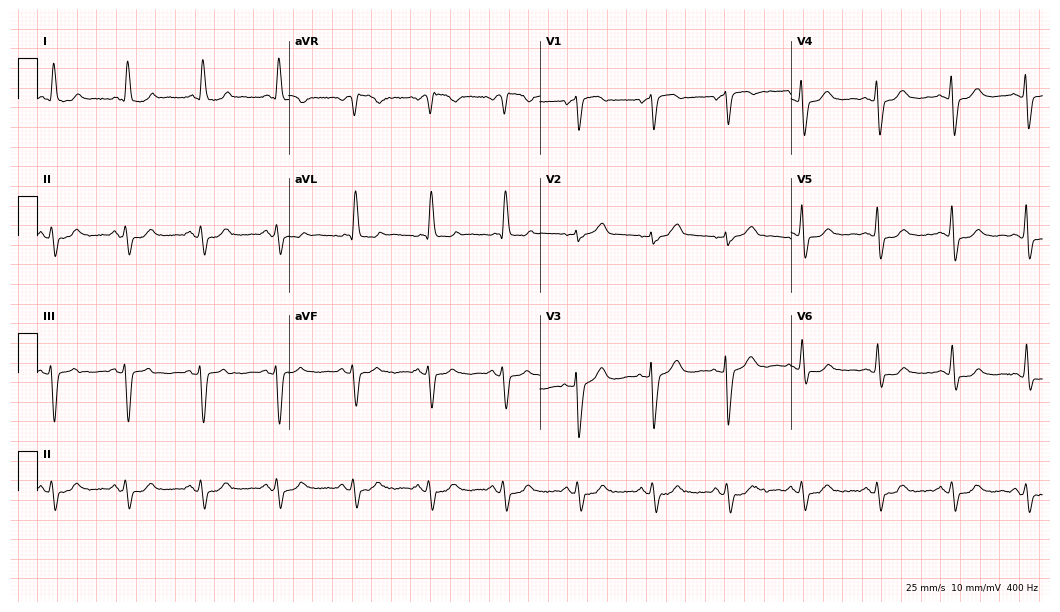
ECG (10.2-second recording at 400 Hz) — a 71-year-old woman. Screened for six findings — first-degree AV block, right bundle branch block, left bundle branch block, sinus bradycardia, atrial fibrillation, sinus tachycardia — none is recorded. Other findings, if any, are not listed.